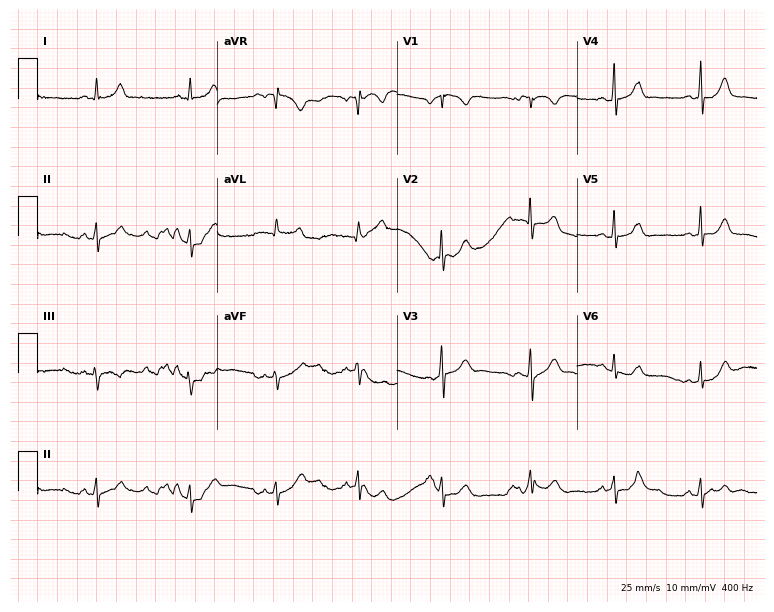
Standard 12-lead ECG recorded from a 32-year-old woman (7.3-second recording at 400 Hz). None of these six findings is recorded: first-degree AV block, right bundle branch block, left bundle branch block, sinus bradycardia, atrial fibrillation, sinus tachycardia.